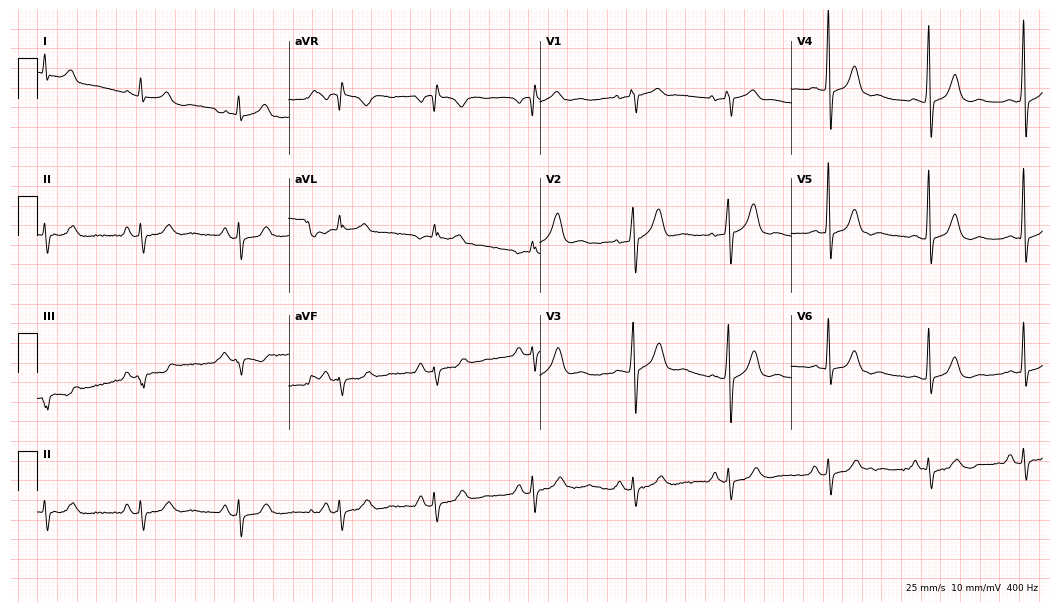
Standard 12-lead ECG recorded from a 67-year-old man. None of these six findings is recorded: first-degree AV block, right bundle branch block (RBBB), left bundle branch block (LBBB), sinus bradycardia, atrial fibrillation (AF), sinus tachycardia. Findings outside these six are not listed.